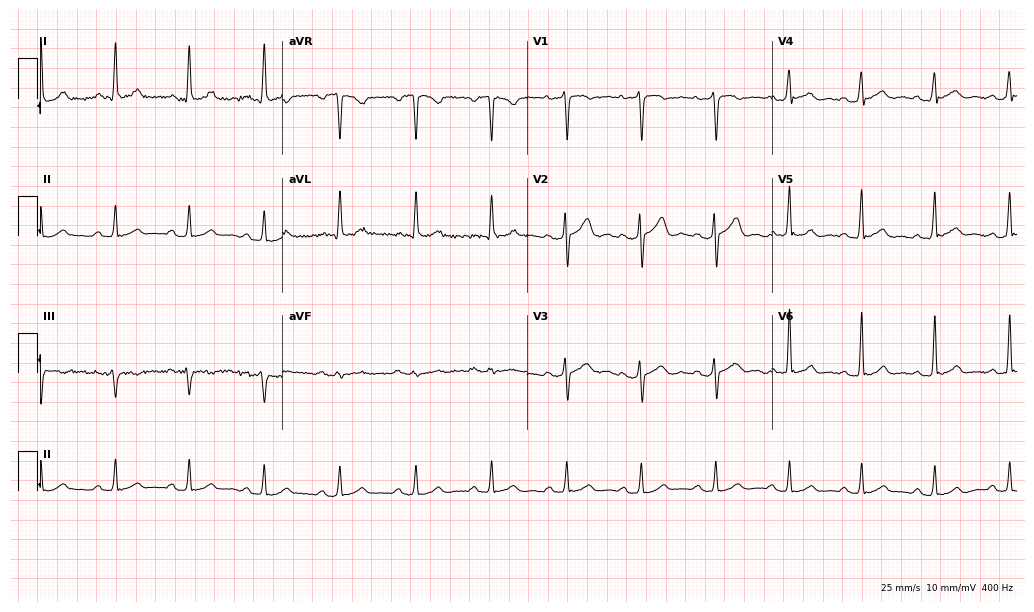
12-lead ECG from a 43-year-old man. No first-degree AV block, right bundle branch block (RBBB), left bundle branch block (LBBB), sinus bradycardia, atrial fibrillation (AF) or sinus tachycardia recorded for this tracing.